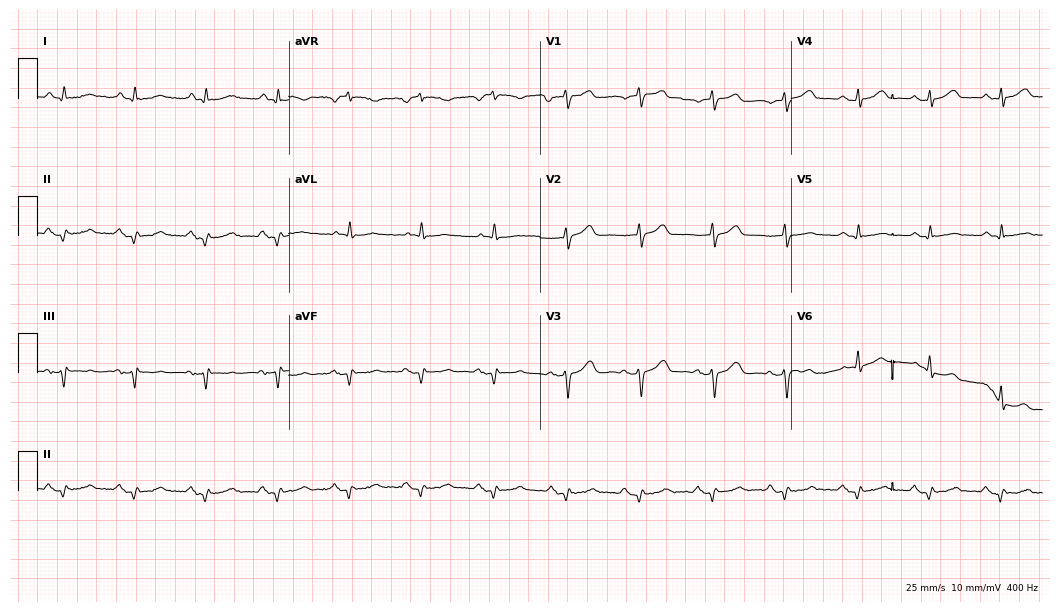
12-lead ECG from a male patient, 61 years old. Labelled as a normal ECG.